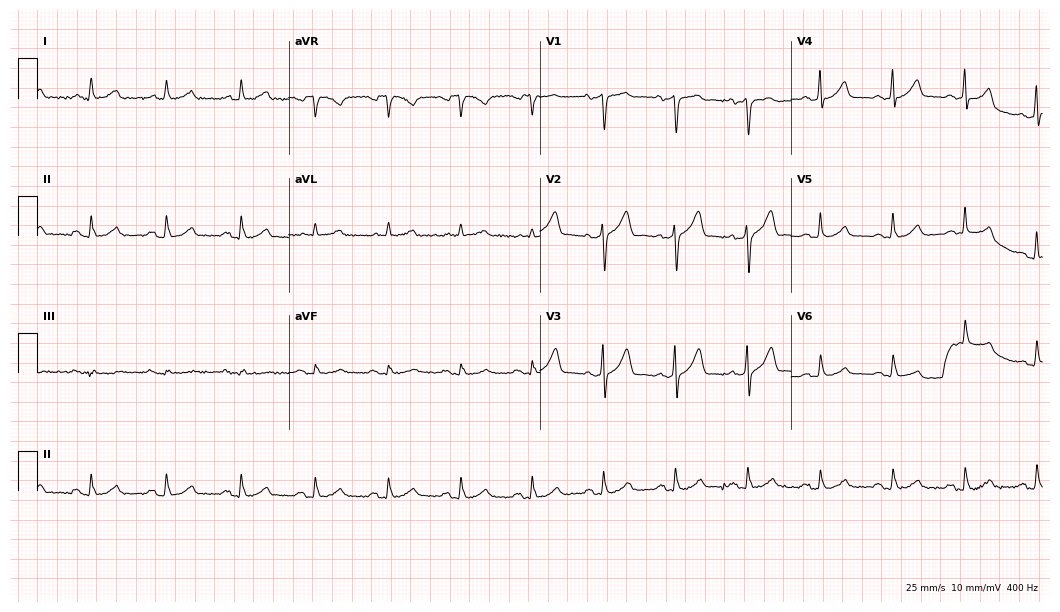
ECG — a male, 57 years old. Screened for six findings — first-degree AV block, right bundle branch block, left bundle branch block, sinus bradycardia, atrial fibrillation, sinus tachycardia — none is recorded. Other findings, if any, are not listed.